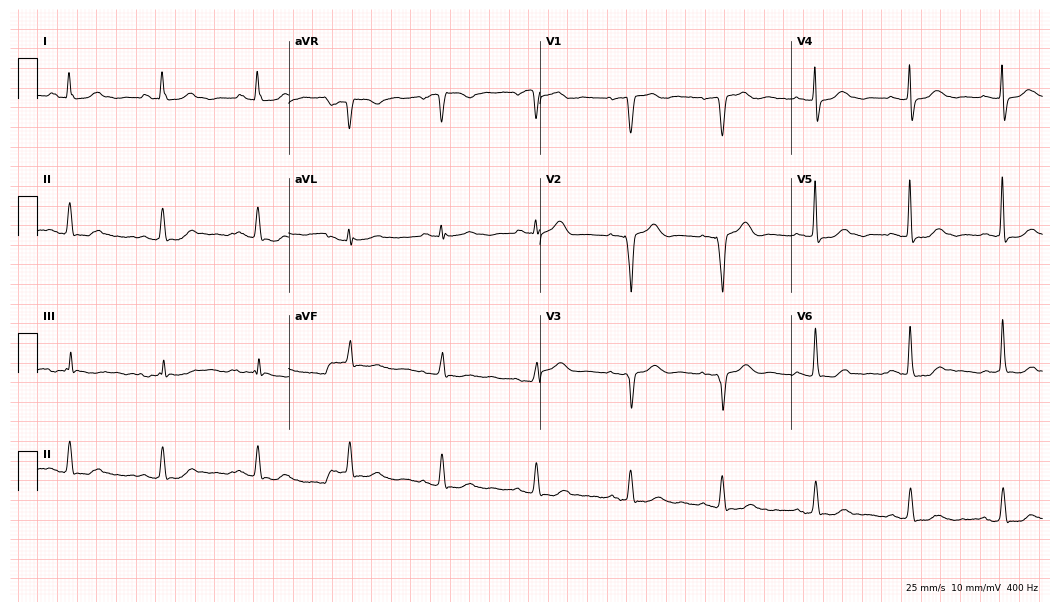
ECG (10.2-second recording at 400 Hz) — a 56-year-old female patient. Screened for six findings — first-degree AV block, right bundle branch block, left bundle branch block, sinus bradycardia, atrial fibrillation, sinus tachycardia — none is recorded. Findings outside these six are not listed.